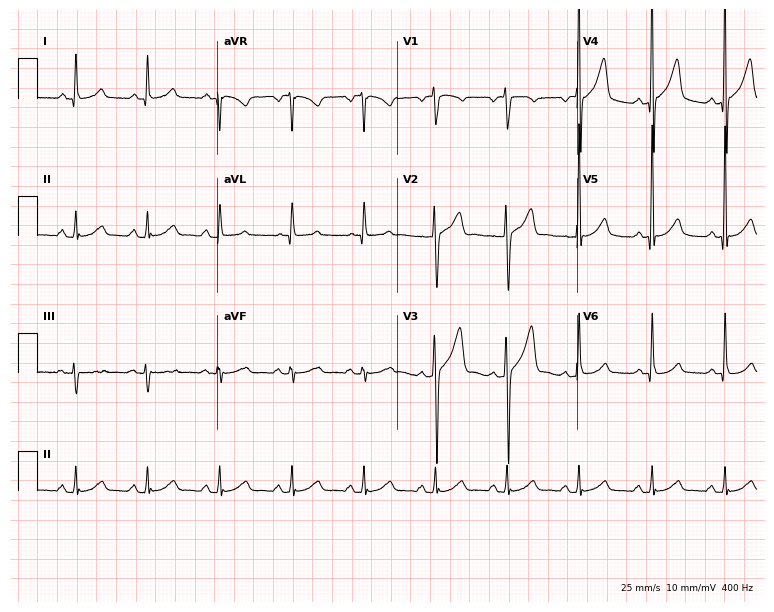
Resting 12-lead electrocardiogram (7.3-second recording at 400 Hz). Patient: a male, 47 years old. None of these six findings is recorded: first-degree AV block, right bundle branch block, left bundle branch block, sinus bradycardia, atrial fibrillation, sinus tachycardia. Only these six findings were labelled.